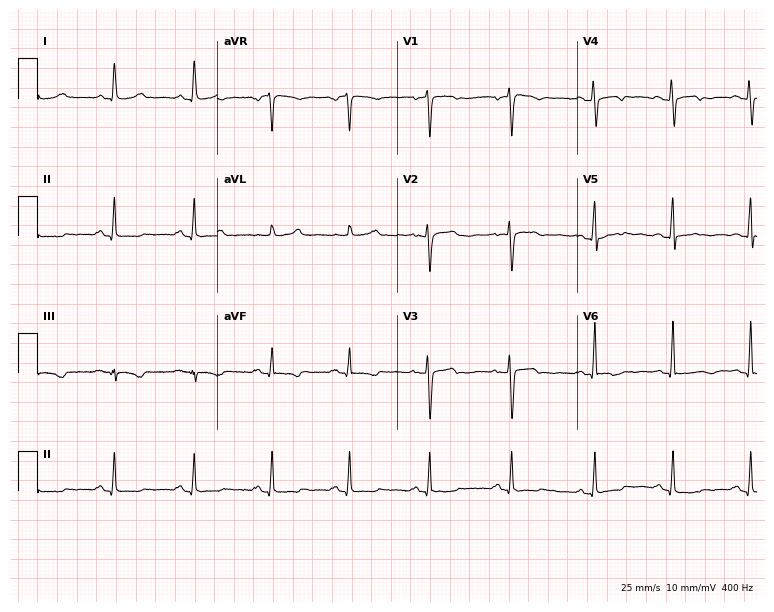
12-lead ECG from a 51-year-old woman. Screened for six findings — first-degree AV block, right bundle branch block, left bundle branch block, sinus bradycardia, atrial fibrillation, sinus tachycardia — none is recorded.